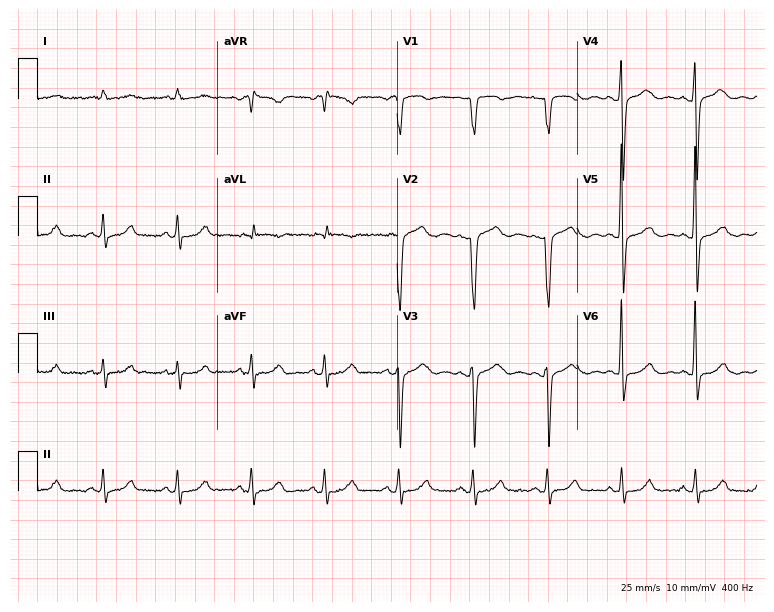
ECG — a 61-year-old woman. Screened for six findings — first-degree AV block, right bundle branch block, left bundle branch block, sinus bradycardia, atrial fibrillation, sinus tachycardia — none is recorded.